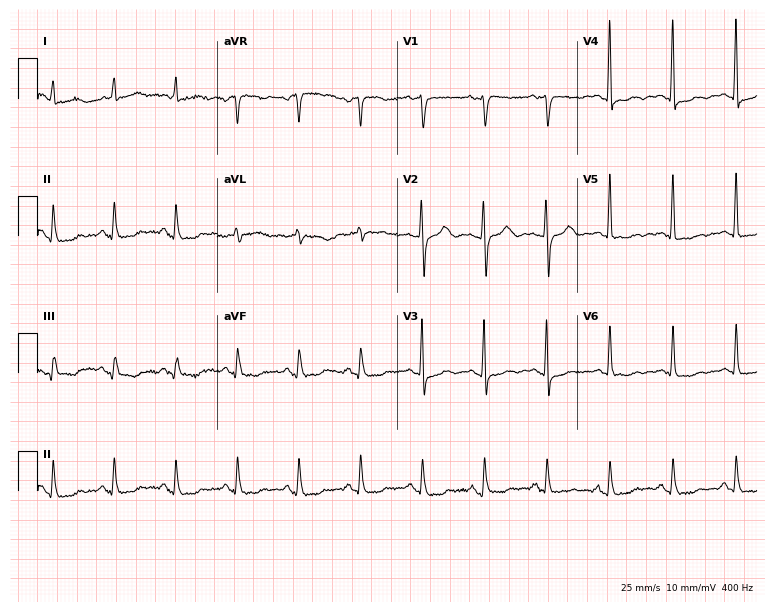
Standard 12-lead ECG recorded from a 69-year-old female patient (7.3-second recording at 400 Hz). Read as a normal ECG.